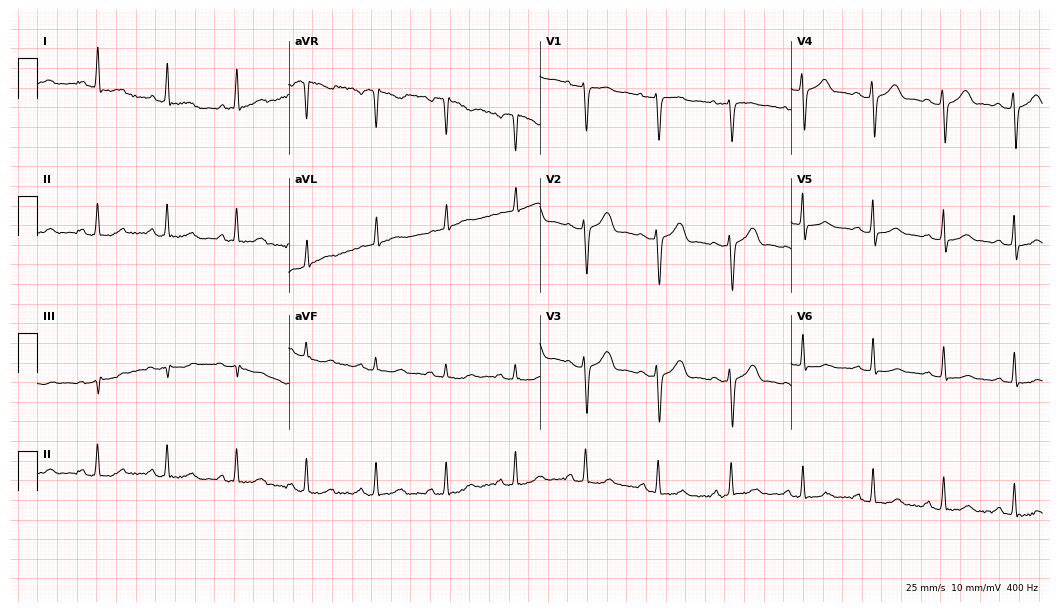
Electrocardiogram (10.2-second recording at 400 Hz), a 51-year-old woman. Overall reading on record: normal ECG.